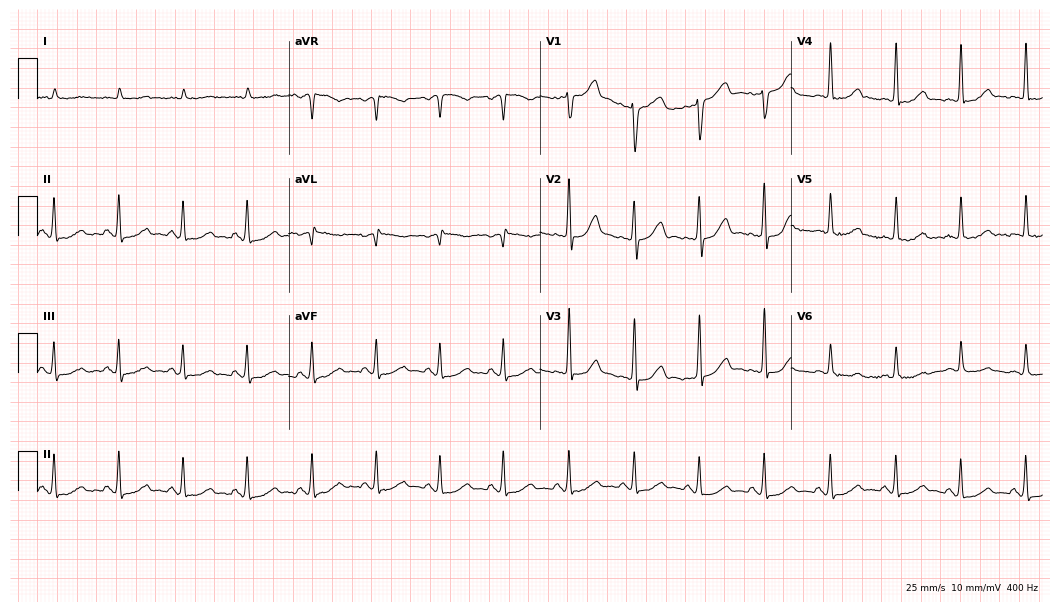
Electrocardiogram, a woman, 80 years old. Overall reading on record: normal ECG.